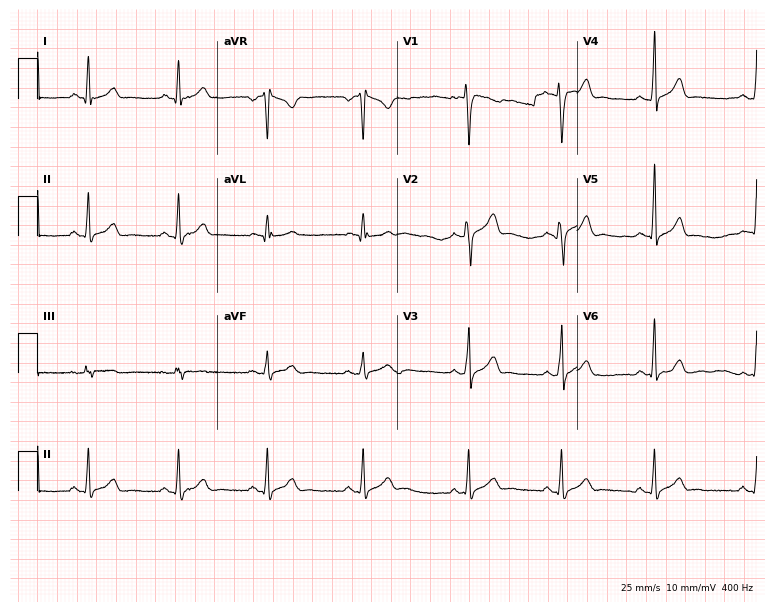
12-lead ECG from a 26-year-old male. Labelled as a normal ECG.